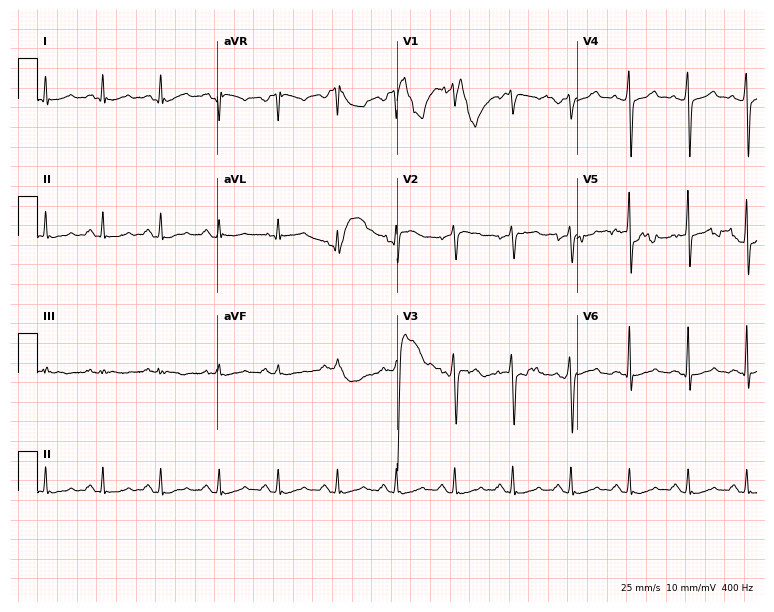
12-lead ECG (7.3-second recording at 400 Hz) from a 51-year-old male patient. Findings include sinus tachycardia (a sinus rate of 100 beats per minute or more).